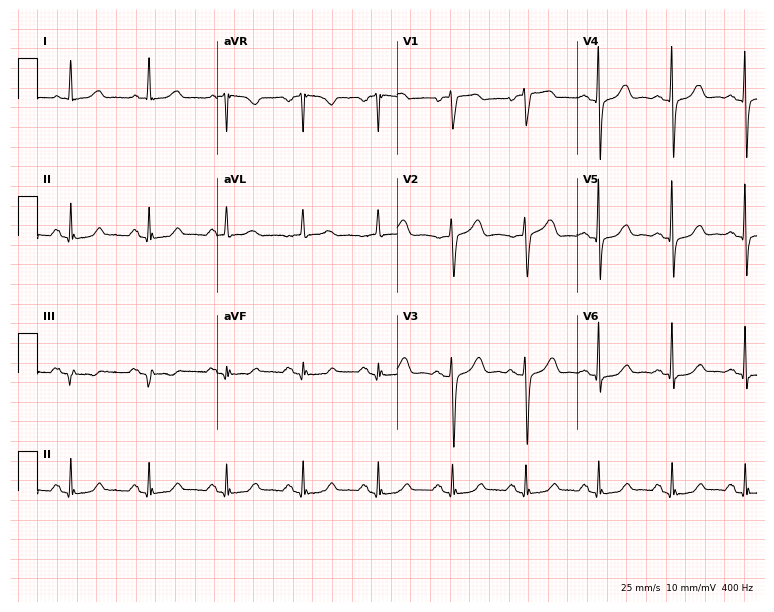
12-lead ECG from a 72-year-old female (7.3-second recording at 400 Hz). Recorded interpretation: within normal limits.